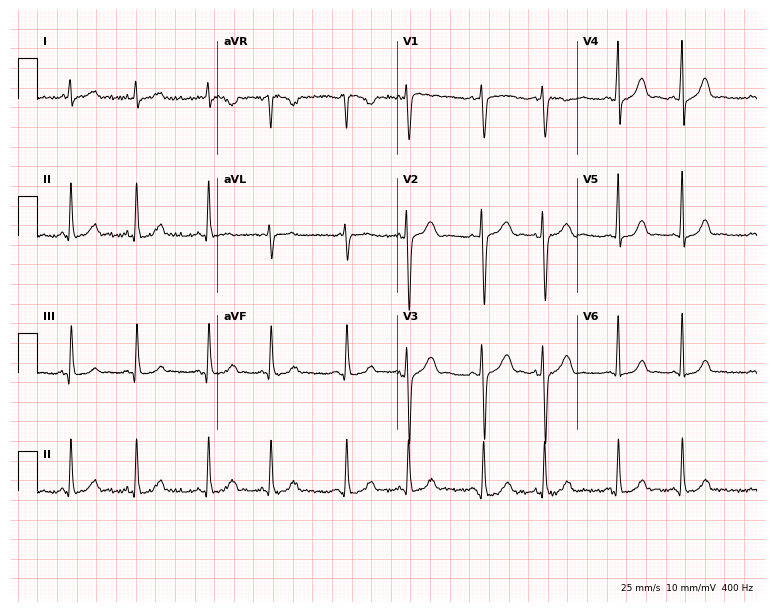
Resting 12-lead electrocardiogram (7.3-second recording at 400 Hz). Patient: a 26-year-old female. None of these six findings is recorded: first-degree AV block, right bundle branch block (RBBB), left bundle branch block (LBBB), sinus bradycardia, atrial fibrillation (AF), sinus tachycardia. Findings outside these six are not listed.